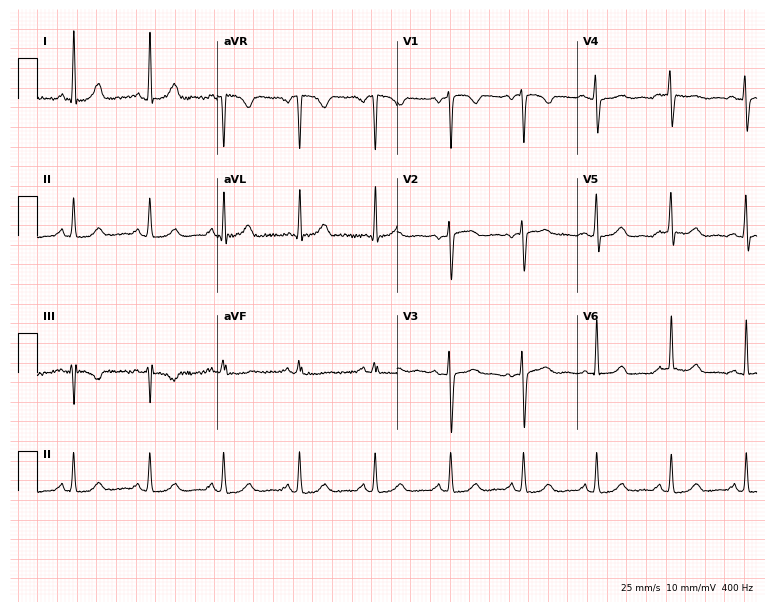
12-lead ECG from a 38-year-old female. No first-degree AV block, right bundle branch block (RBBB), left bundle branch block (LBBB), sinus bradycardia, atrial fibrillation (AF) or sinus tachycardia recorded for this tracing. Only these six findings were labelled.